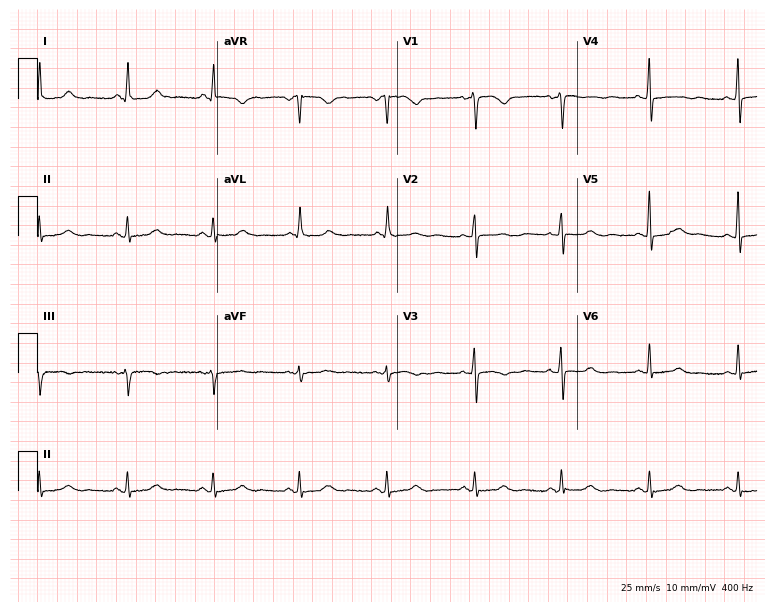
12-lead ECG from a 72-year-old female patient (7.3-second recording at 400 Hz). No first-degree AV block, right bundle branch block (RBBB), left bundle branch block (LBBB), sinus bradycardia, atrial fibrillation (AF) or sinus tachycardia recorded for this tracing.